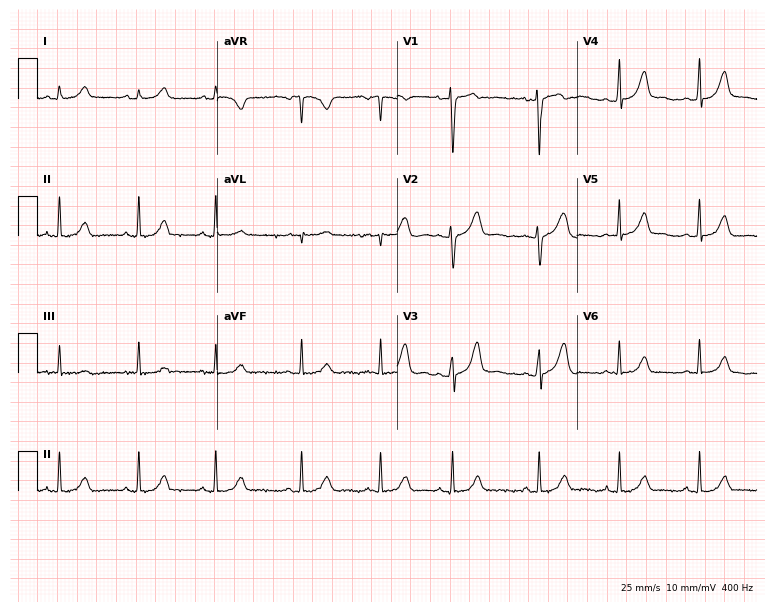
Electrocardiogram (7.3-second recording at 400 Hz), an 18-year-old female. Overall reading on record: normal ECG.